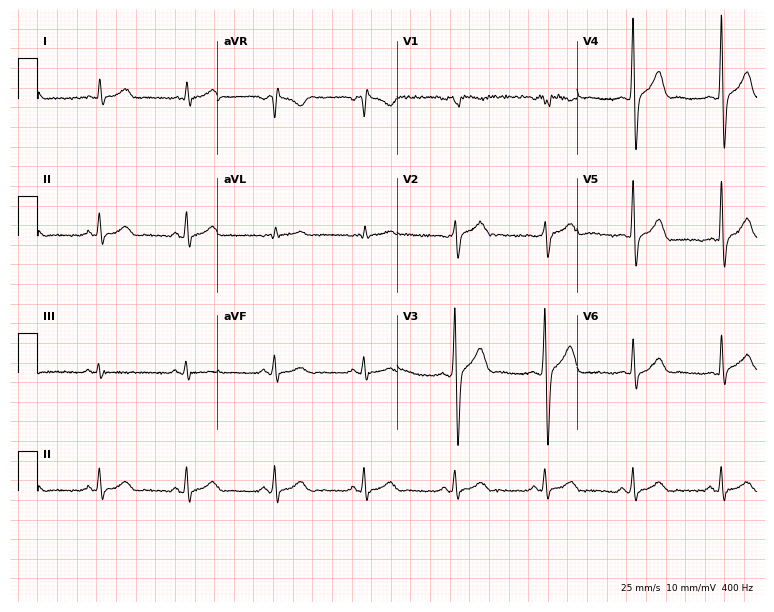
Standard 12-lead ECG recorded from a 49-year-old male patient. Read as a normal ECG.